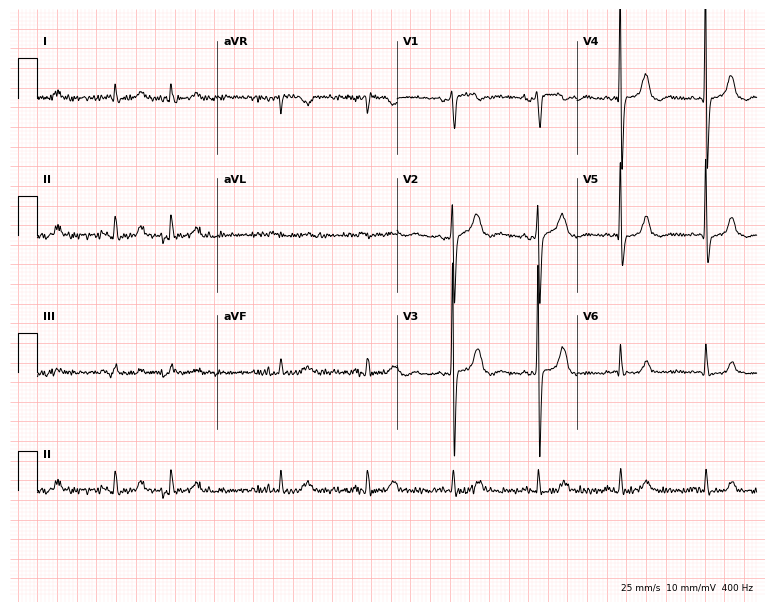
Electrocardiogram (7.3-second recording at 400 Hz), an 85-year-old woman. Of the six screened findings (first-degree AV block, right bundle branch block, left bundle branch block, sinus bradycardia, atrial fibrillation, sinus tachycardia), none is recorded.